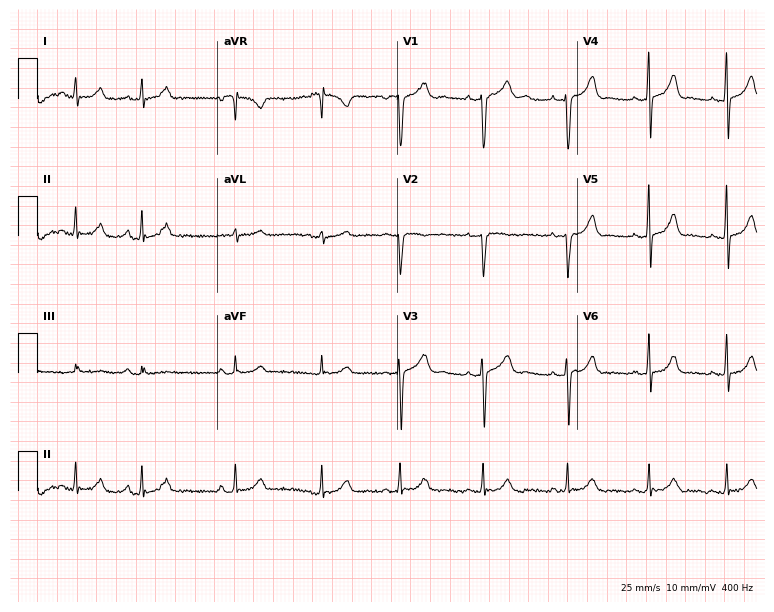
12-lead ECG from a female, 19 years old (7.3-second recording at 400 Hz). No first-degree AV block, right bundle branch block (RBBB), left bundle branch block (LBBB), sinus bradycardia, atrial fibrillation (AF) or sinus tachycardia recorded for this tracing. Only these six findings were labelled.